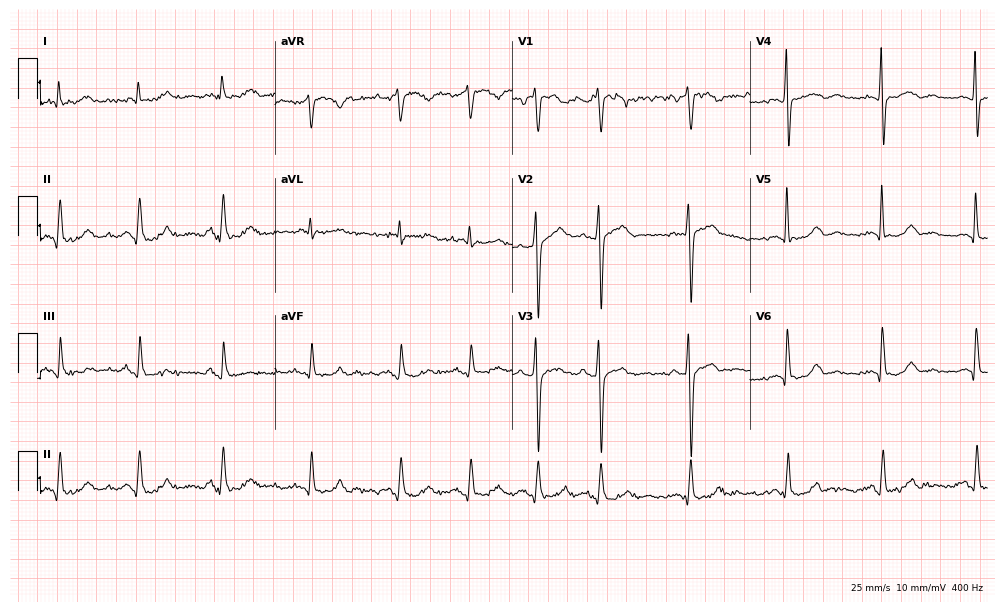
Electrocardiogram (9.7-second recording at 400 Hz), a 64-year-old man. Of the six screened findings (first-degree AV block, right bundle branch block (RBBB), left bundle branch block (LBBB), sinus bradycardia, atrial fibrillation (AF), sinus tachycardia), none is recorded. Findings outside these six are not listed.